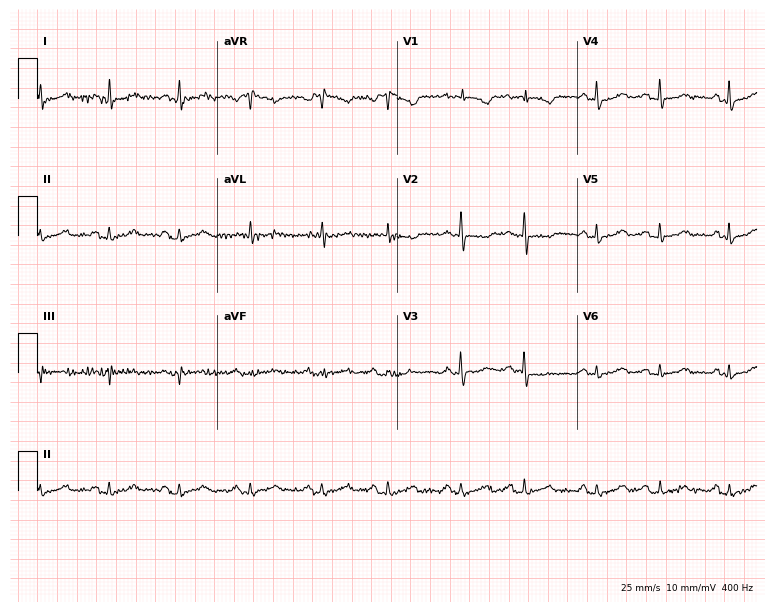
Resting 12-lead electrocardiogram. Patient: a woman, 74 years old. None of these six findings is recorded: first-degree AV block, right bundle branch block, left bundle branch block, sinus bradycardia, atrial fibrillation, sinus tachycardia.